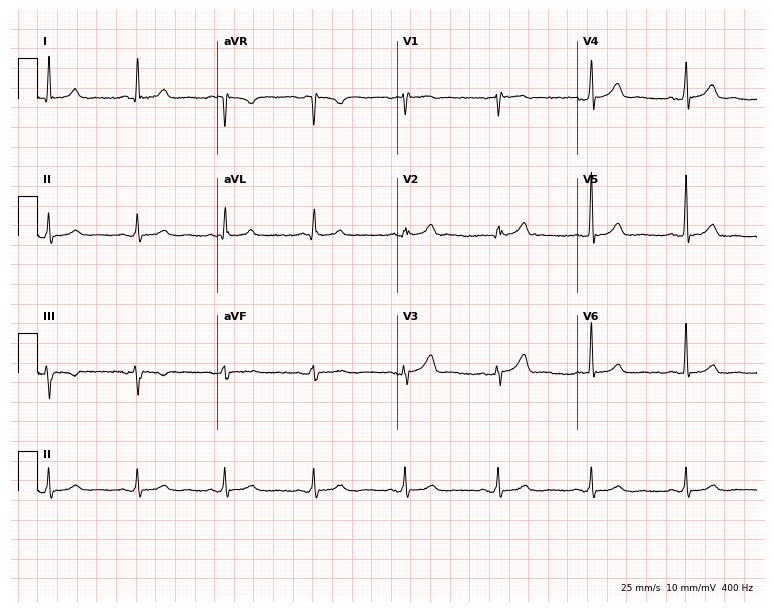
12-lead ECG (7.3-second recording at 400 Hz) from a 55-year-old female. Labelled as a normal ECG.